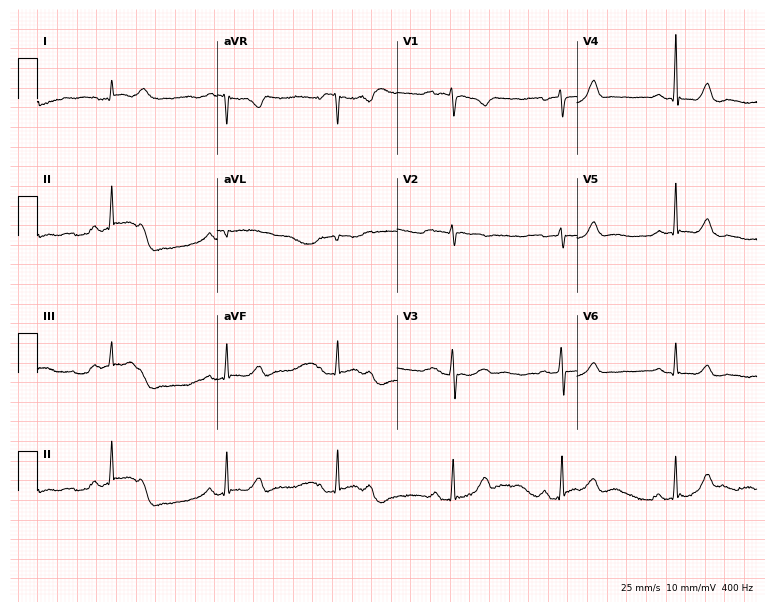
Standard 12-lead ECG recorded from a woman, 65 years old (7.3-second recording at 400 Hz). Read as a normal ECG.